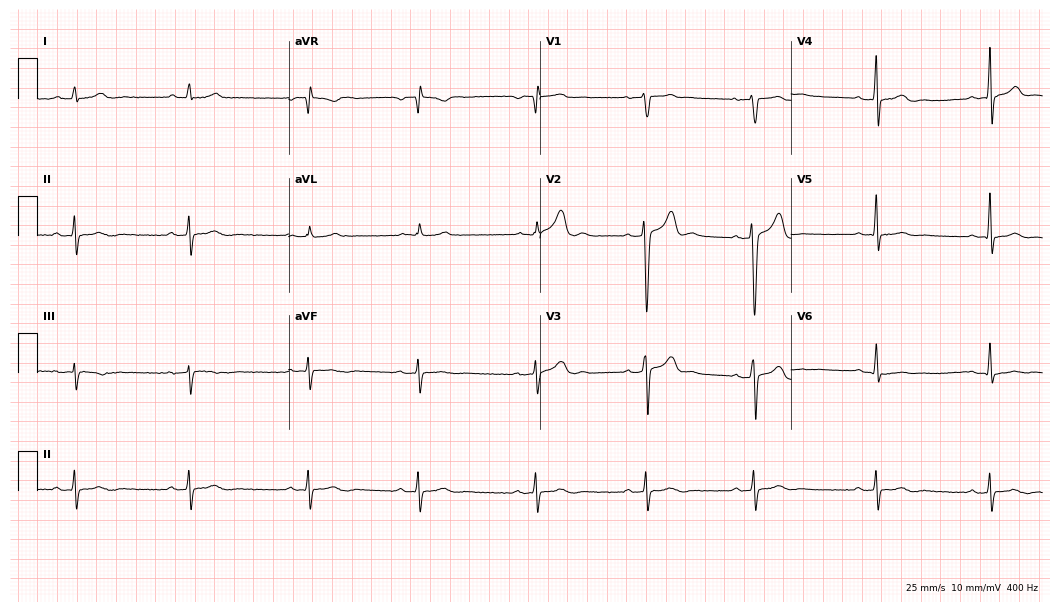
12-lead ECG (10.2-second recording at 400 Hz) from a male patient, 21 years old. Screened for six findings — first-degree AV block, right bundle branch block, left bundle branch block, sinus bradycardia, atrial fibrillation, sinus tachycardia — none is recorded. Only these six findings were labelled.